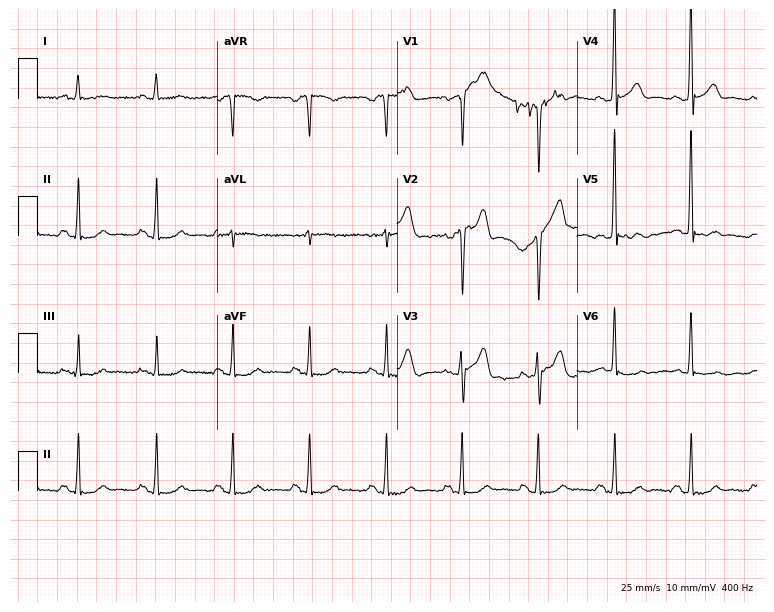
Resting 12-lead electrocardiogram (7.3-second recording at 400 Hz). Patient: a 54-year-old male. None of these six findings is recorded: first-degree AV block, right bundle branch block, left bundle branch block, sinus bradycardia, atrial fibrillation, sinus tachycardia. Other findings, if any, are not listed.